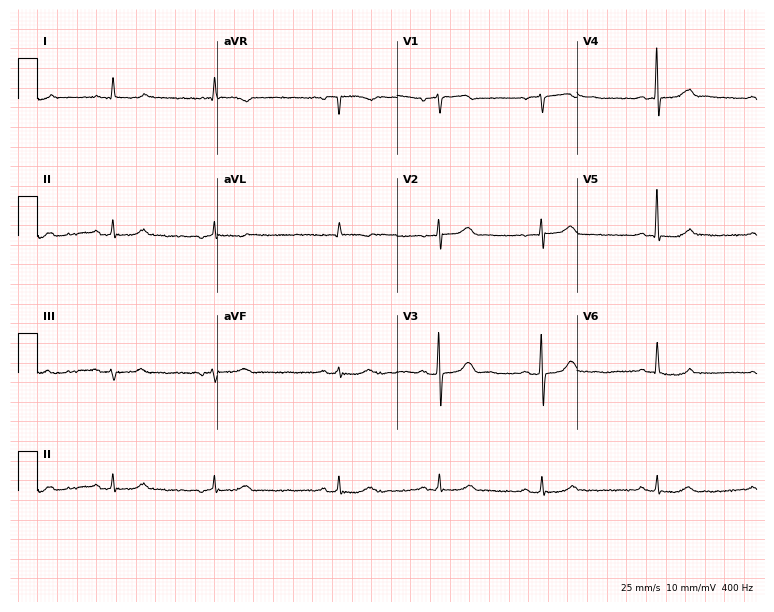
Resting 12-lead electrocardiogram. Patient: a 78-year-old male. None of these six findings is recorded: first-degree AV block, right bundle branch block, left bundle branch block, sinus bradycardia, atrial fibrillation, sinus tachycardia.